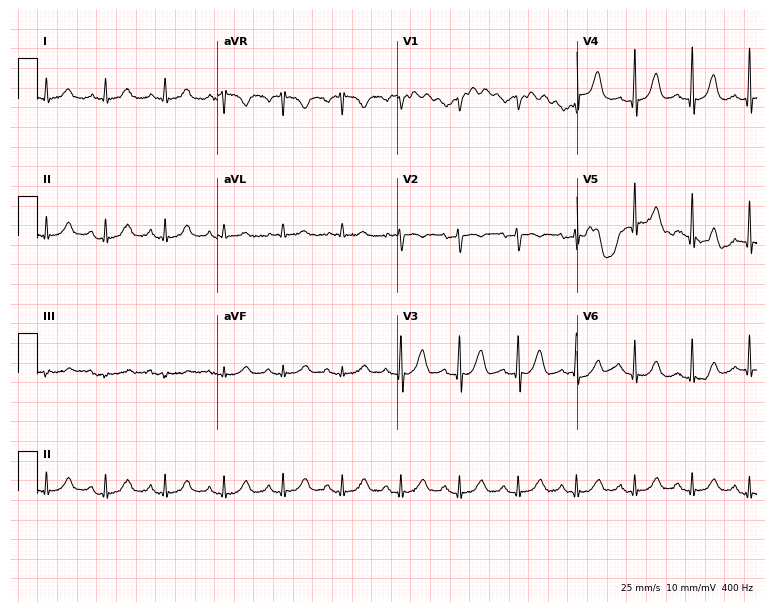
ECG — a 66-year-old woman. Screened for six findings — first-degree AV block, right bundle branch block, left bundle branch block, sinus bradycardia, atrial fibrillation, sinus tachycardia — none is recorded.